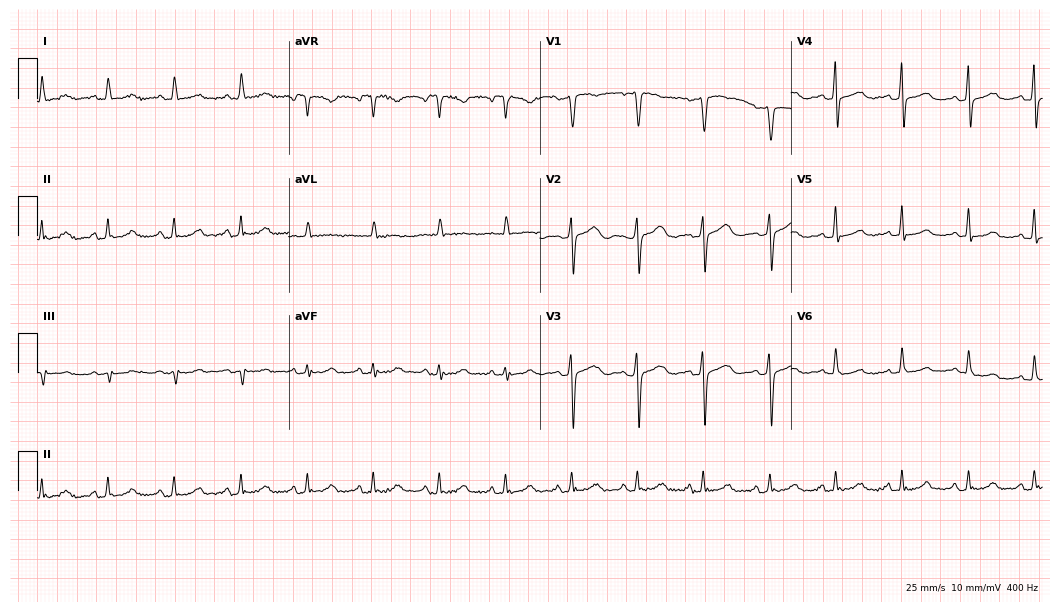
Electrocardiogram, a woman, 51 years old. Of the six screened findings (first-degree AV block, right bundle branch block (RBBB), left bundle branch block (LBBB), sinus bradycardia, atrial fibrillation (AF), sinus tachycardia), none is recorded.